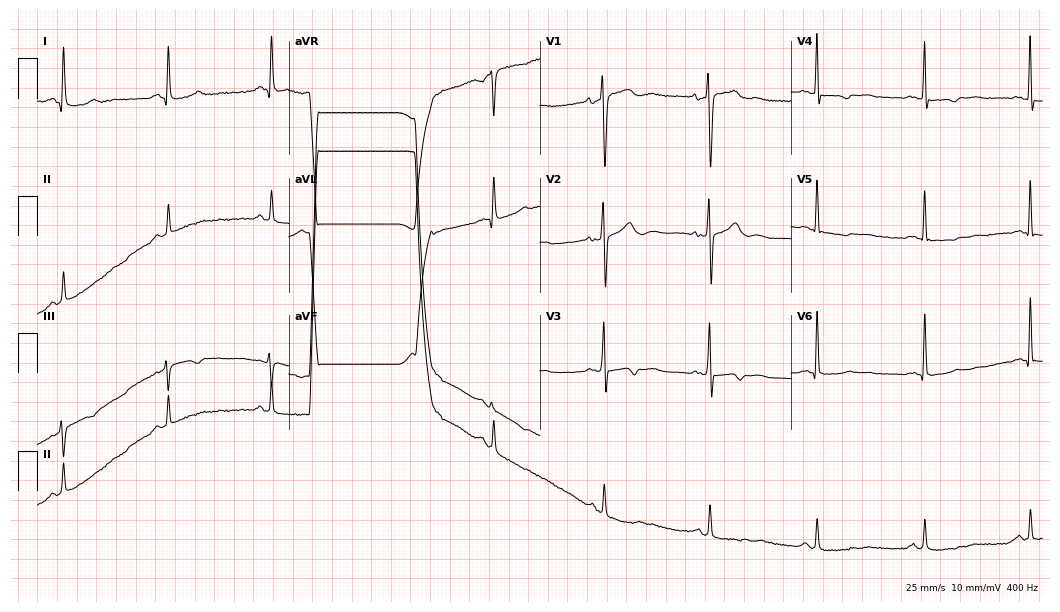
12-lead ECG from a man, 48 years old. No first-degree AV block, right bundle branch block (RBBB), left bundle branch block (LBBB), sinus bradycardia, atrial fibrillation (AF) or sinus tachycardia recorded for this tracing. Findings outside these six are not listed.